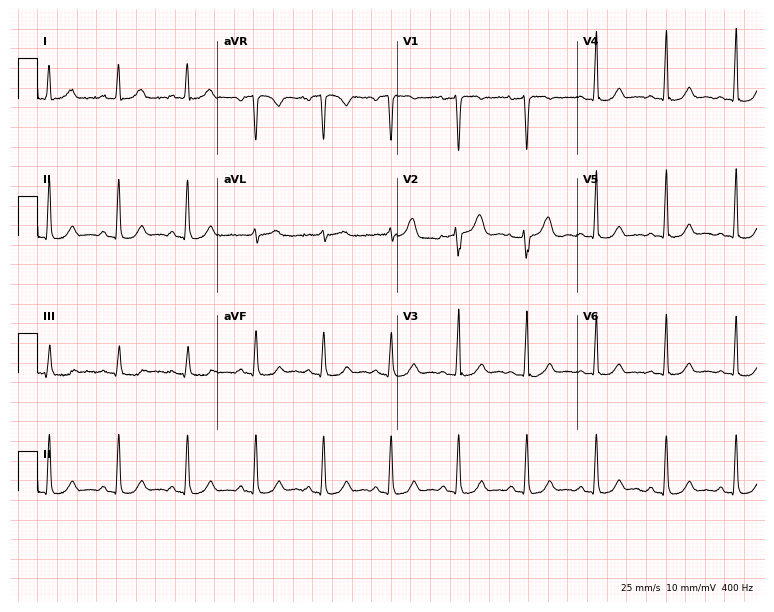
Resting 12-lead electrocardiogram (7.3-second recording at 400 Hz). Patient: a 53-year-old female. None of these six findings is recorded: first-degree AV block, right bundle branch block, left bundle branch block, sinus bradycardia, atrial fibrillation, sinus tachycardia. Other findings, if any, are not listed.